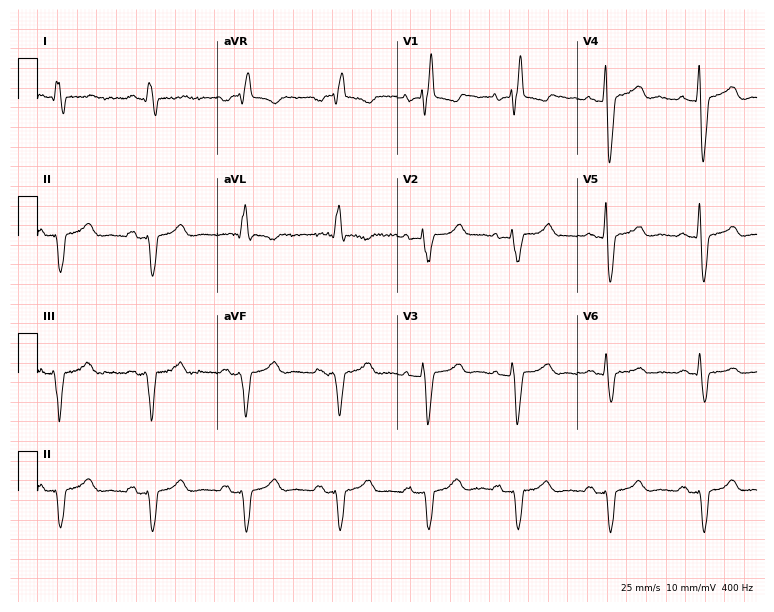
Standard 12-lead ECG recorded from a 73-year-old woman. The tracing shows right bundle branch block (RBBB).